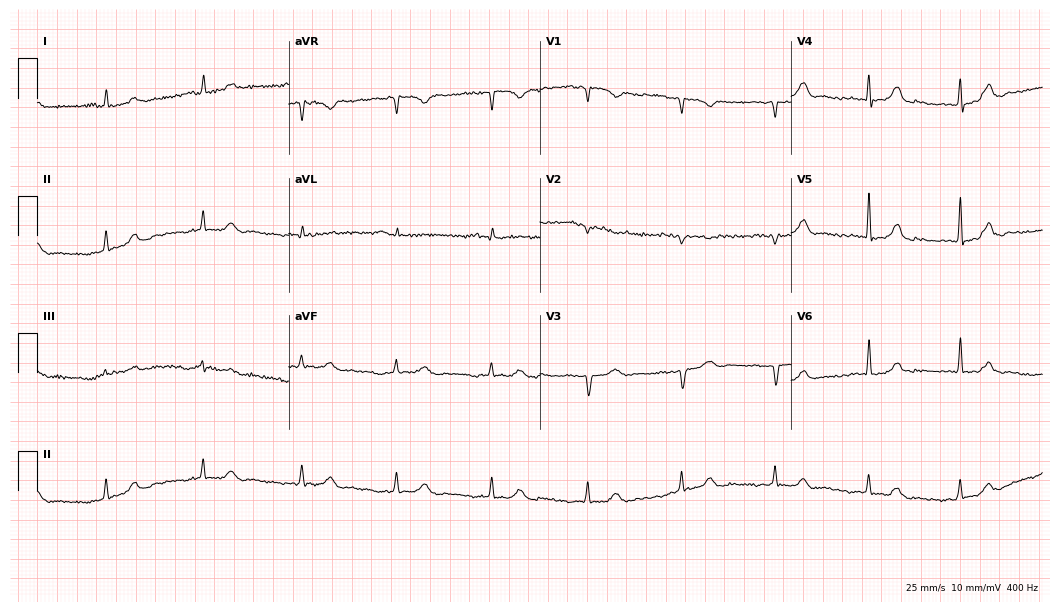
12-lead ECG (10.2-second recording at 400 Hz) from a female patient, 83 years old. Screened for six findings — first-degree AV block, right bundle branch block, left bundle branch block, sinus bradycardia, atrial fibrillation, sinus tachycardia — none is recorded. Other findings, if any, are not listed.